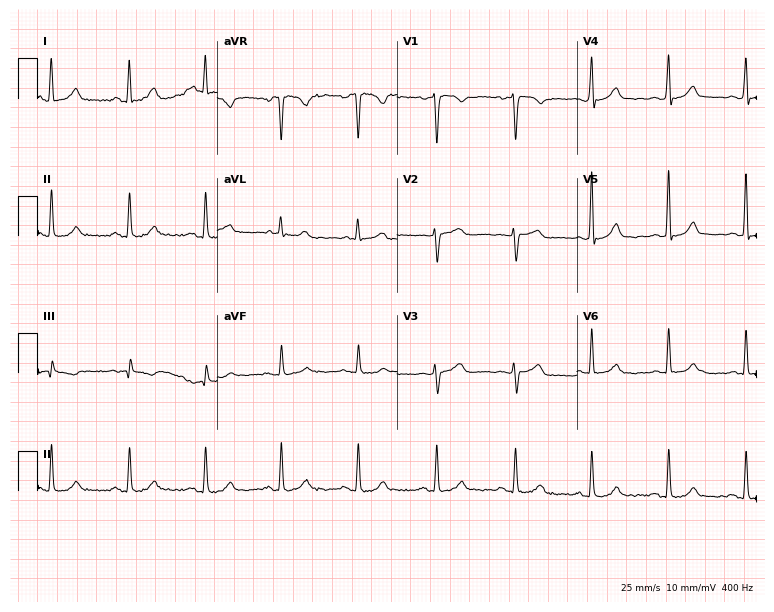
12-lead ECG (7.3-second recording at 400 Hz) from a 37-year-old woman. Screened for six findings — first-degree AV block, right bundle branch block (RBBB), left bundle branch block (LBBB), sinus bradycardia, atrial fibrillation (AF), sinus tachycardia — none is recorded.